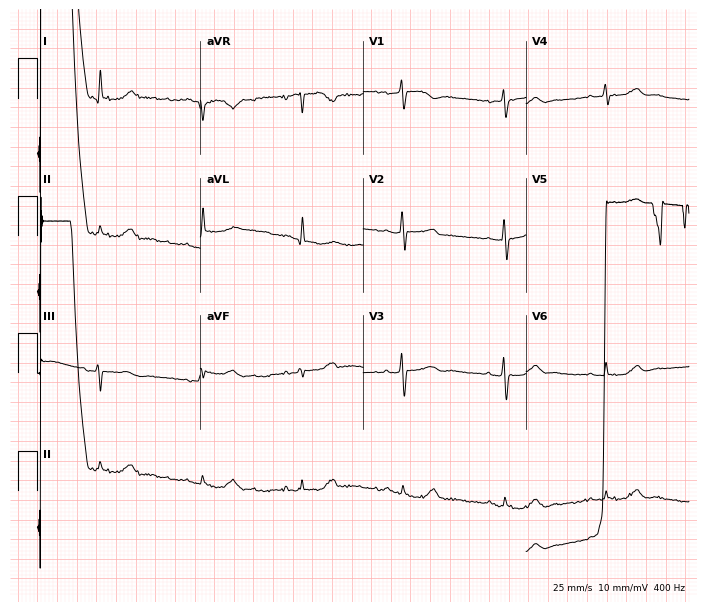
Standard 12-lead ECG recorded from a 73-year-old woman (6.6-second recording at 400 Hz). None of these six findings is recorded: first-degree AV block, right bundle branch block, left bundle branch block, sinus bradycardia, atrial fibrillation, sinus tachycardia. Other findings, if any, are not listed.